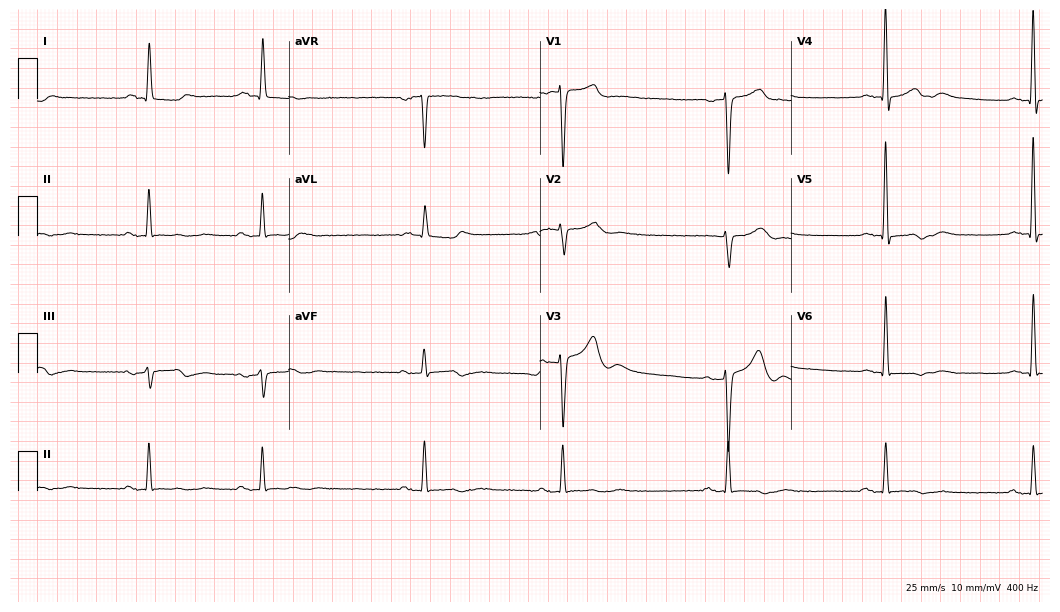
ECG (10.2-second recording at 400 Hz) — an 81-year-old female. Findings include first-degree AV block, sinus bradycardia (a sinus rate of 50 beats per minute or less).